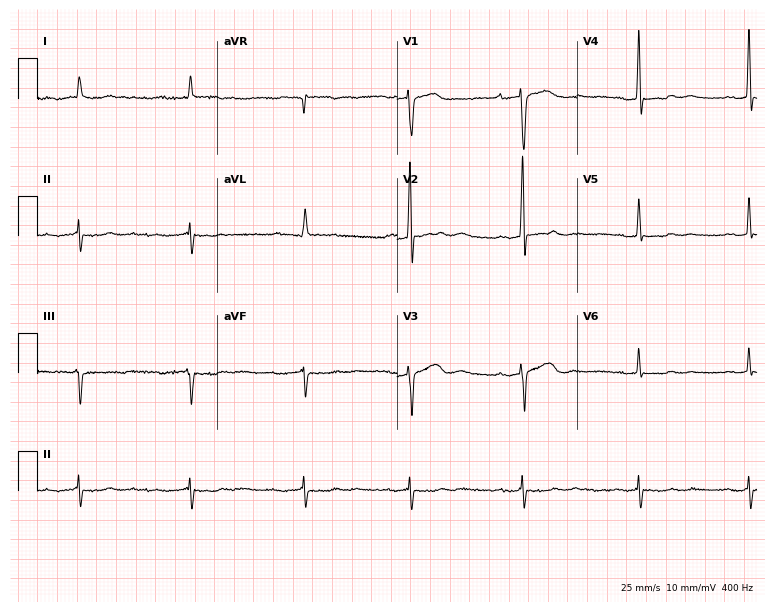
Electrocardiogram (7.3-second recording at 400 Hz), a woman, 68 years old. Interpretation includes first-degree AV block.